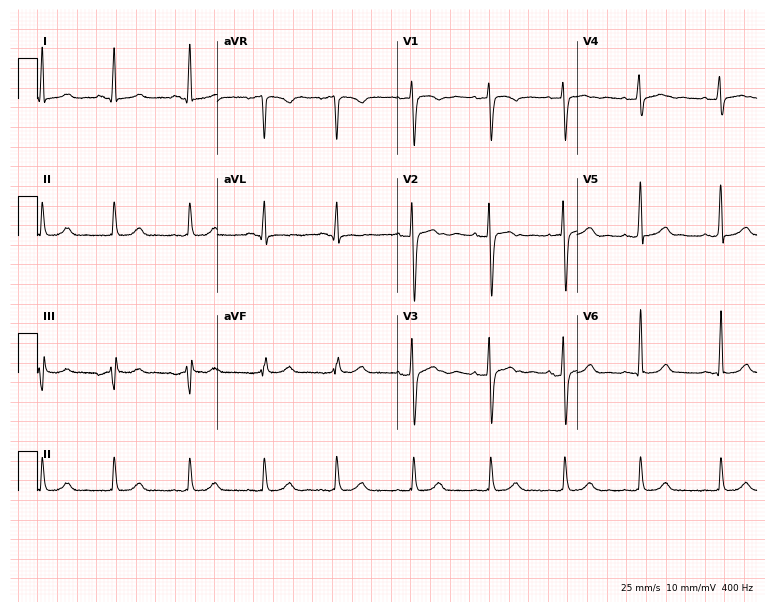
Electrocardiogram, a 24-year-old female. Overall reading on record: normal ECG.